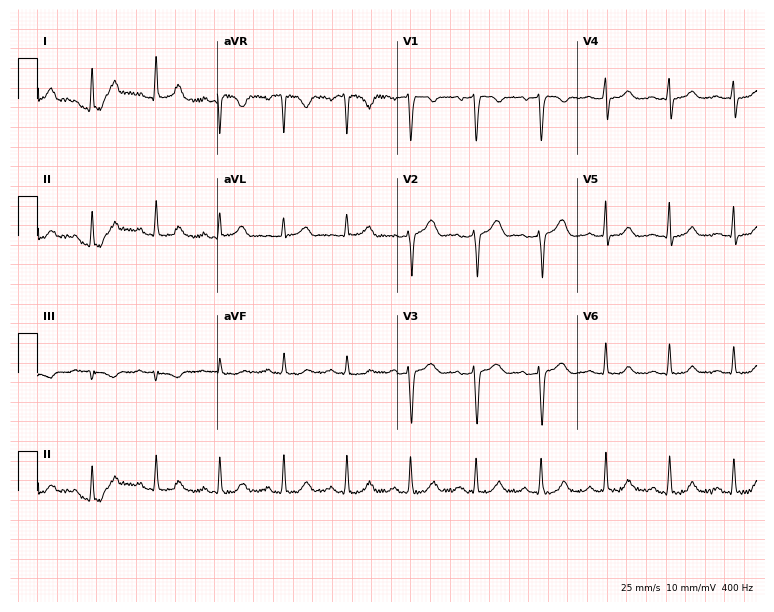
Electrocardiogram, a female patient, 49 years old. Of the six screened findings (first-degree AV block, right bundle branch block, left bundle branch block, sinus bradycardia, atrial fibrillation, sinus tachycardia), none is recorded.